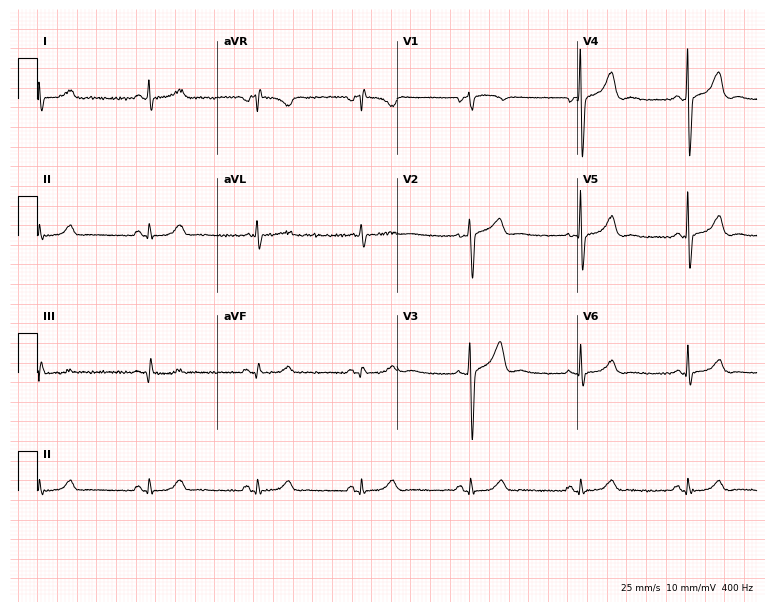
ECG (7.3-second recording at 400 Hz) — a 67-year-old woman. Labelled as a normal ECG.